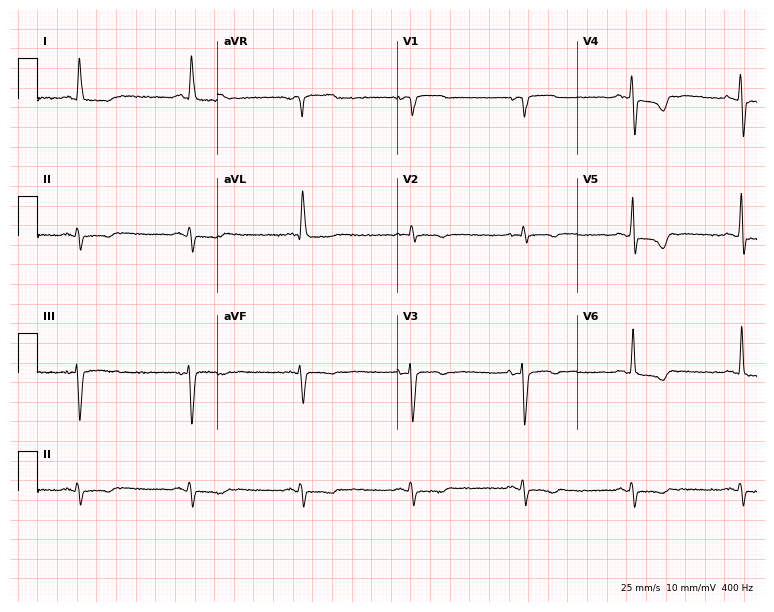
12-lead ECG (7.3-second recording at 400 Hz) from a woman, 64 years old. Screened for six findings — first-degree AV block, right bundle branch block (RBBB), left bundle branch block (LBBB), sinus bradycardia, atrial fibrillation (AF), sinus tachycardia — none is recorded.